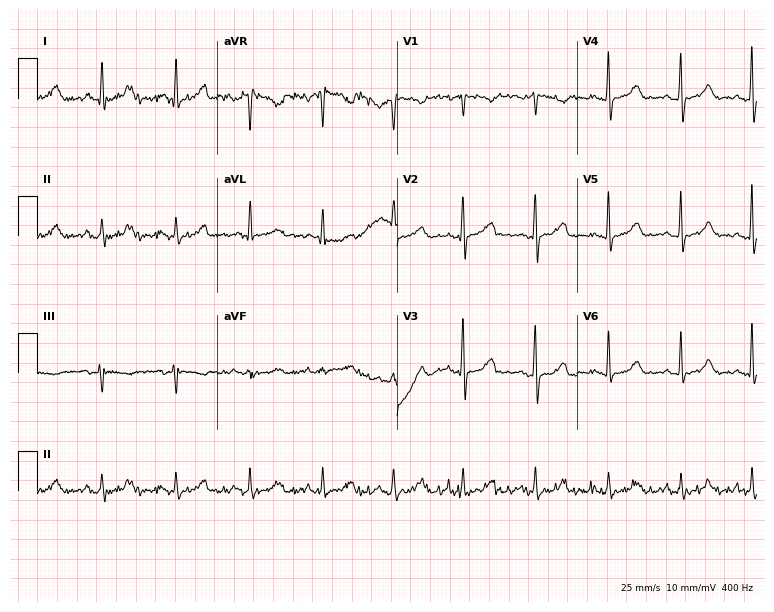
Resting 12-lead electrocardiogram (7.3-second recording at 400 Hz). Patient: a female, 50 years old. None of these six findings is recorded: first-degree AV block, right bundle branch block, left bundle branch block, sinus bradycardia, atrial fibrillation, sinus tachycardia. Only these six findings were labelled.